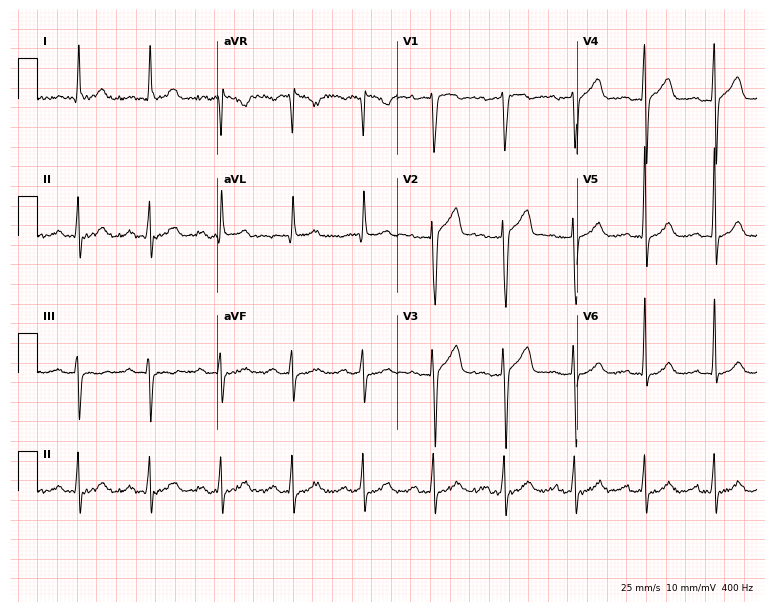
12-lead ECG (7.3-second recording at 400 Hz) from an 83-year-old man. Findings include first-degree AV block.